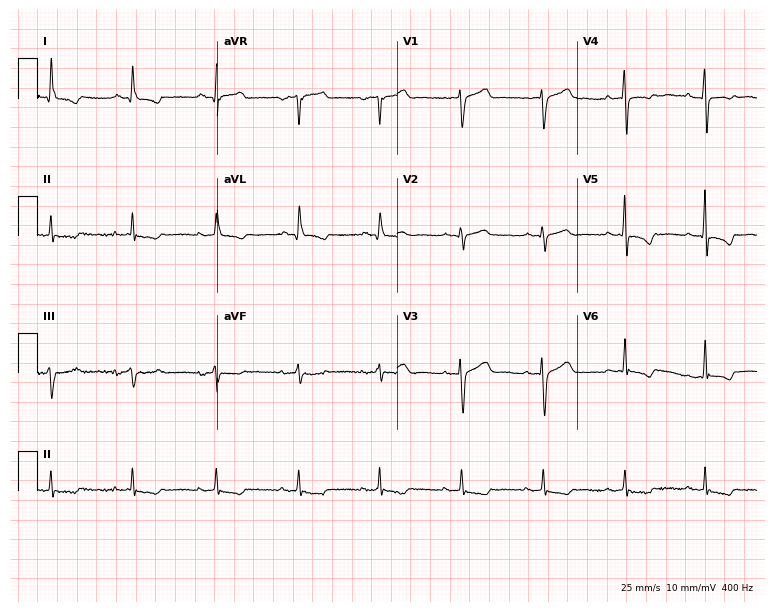
12-lead ECG from a female, 68 years old. No first-degree AV block, right bundle branch block, left bundle branch block, sinus bradycardia, atrial fibrillation or sinus tachycardia recorded for this tracing. Only these six findings were labelled.